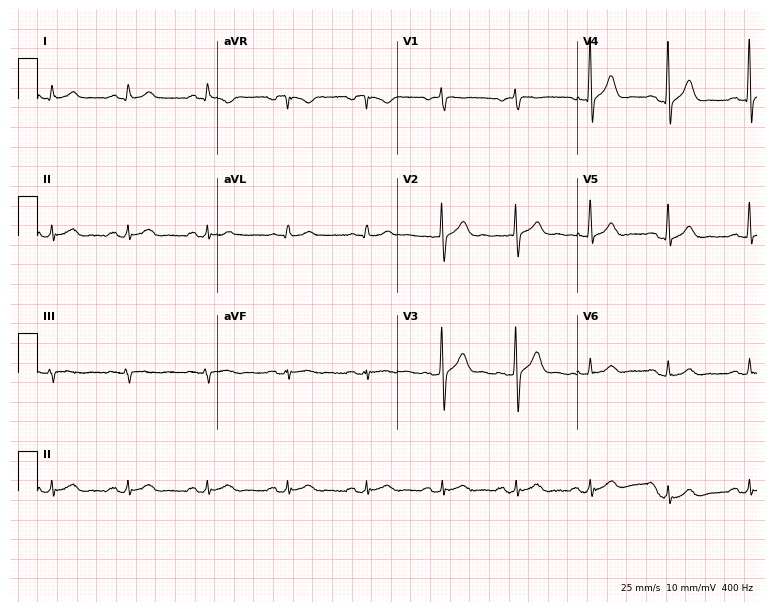
12-lead ECG (7.3-second recording at 400 Hz) from a male patient, 51 years old. Labelled as a normal ECG.